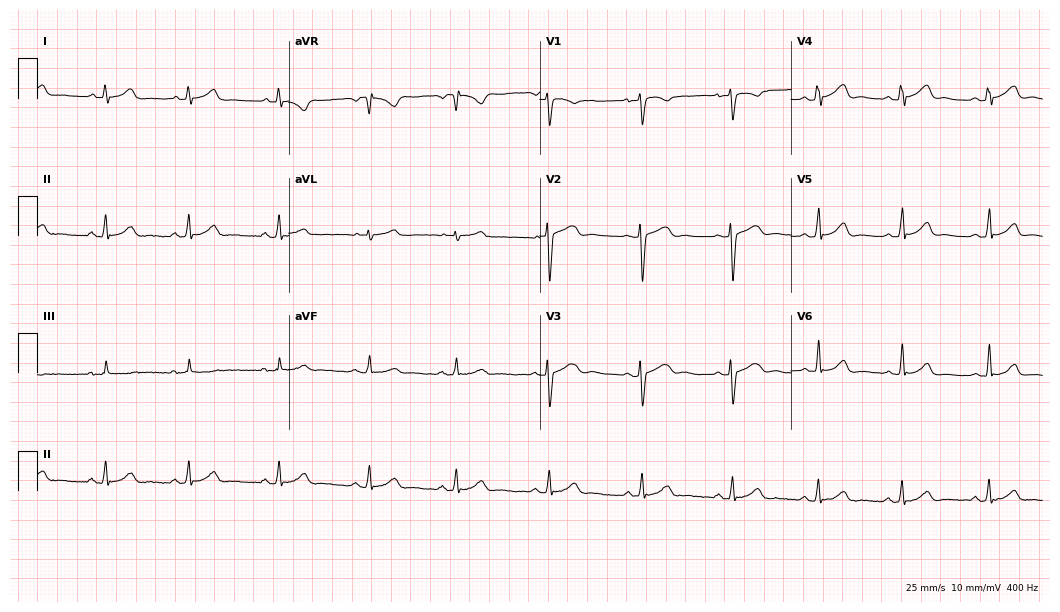
Electrocardiogram (10.2-second recording at 400 Hz), a 20-year-old woman. Overall reading on record: normal ECG.